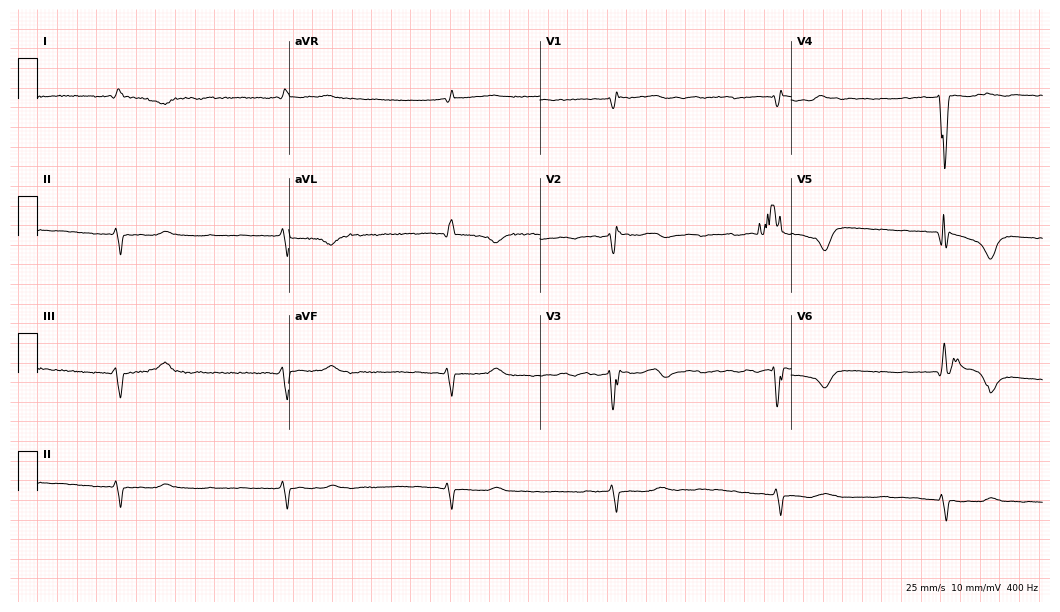
12-lead ECG from a male, 71 years old. Screened for six findings — first-degree AV block, right bundle branch block, left bundle branch block, sinus bradycardia, atrial fibrillation, sinus tachycardia — none is recorded. Findings outside these six are not listed.